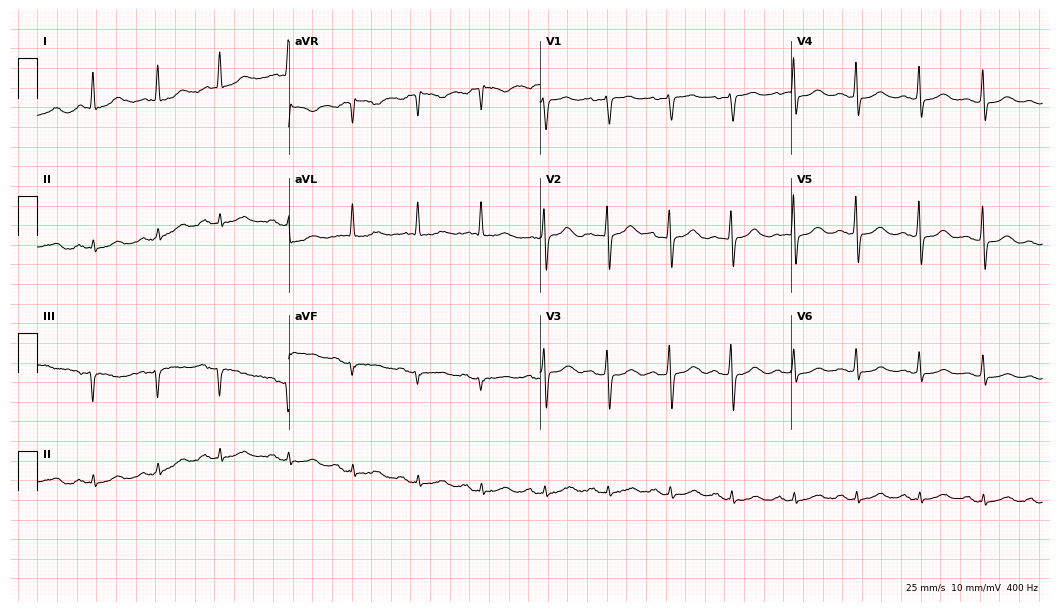
Electrocardiogram (10.2-second recording at 400 Hz), a female patient, 76 years old. Overall reading on record: normal ECG.